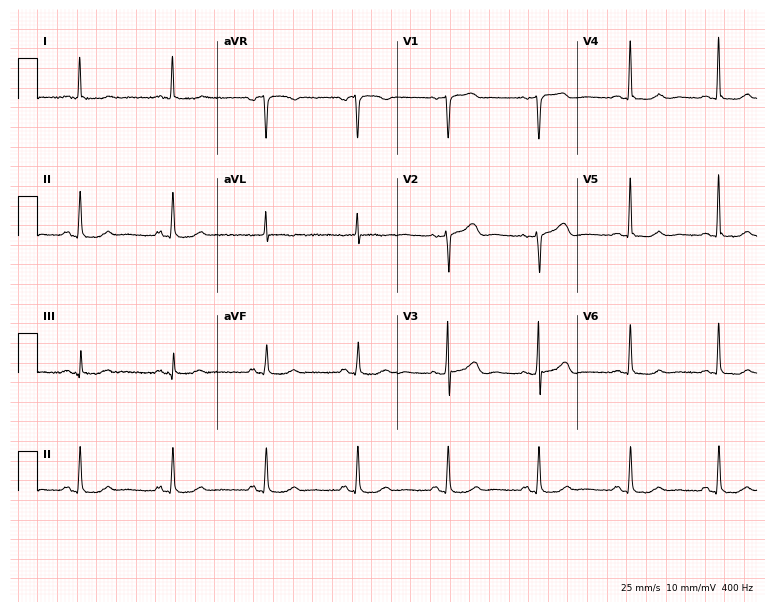
Resting 12-lead electrocardiogram. Patient: a woman, 74 years old. Read as a normal ECG.